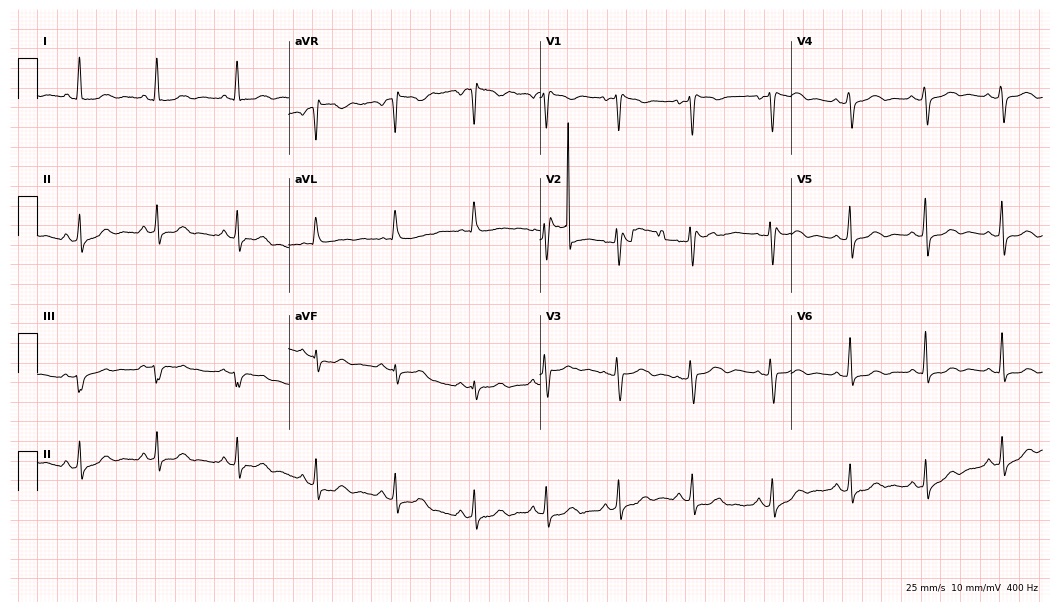
Standard 12-lead ECG recorded from a female patient, 53 years old (10.2-second recording at 400 Hz). Read as a normal ECG.